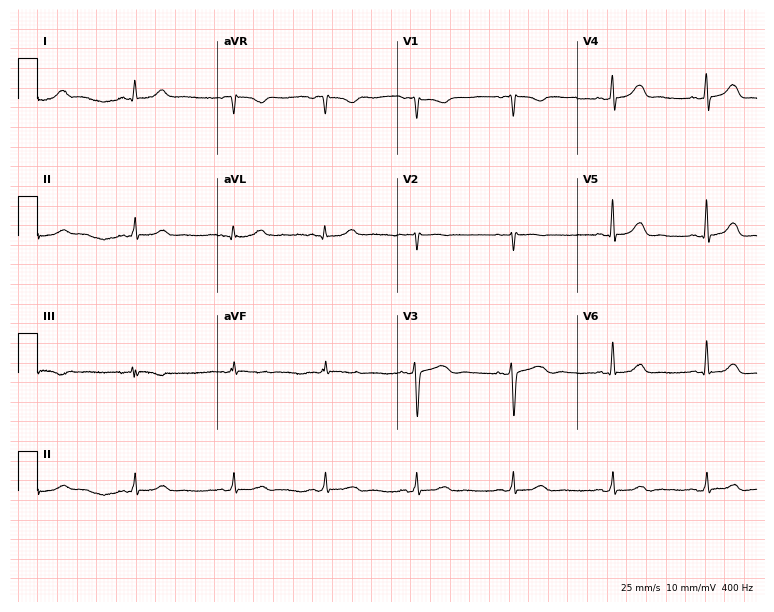
Standard 12-lead ECG recorded from a 40-year-old female patient (7.3-second recording at 400 Hz). Read as a normal ECG.